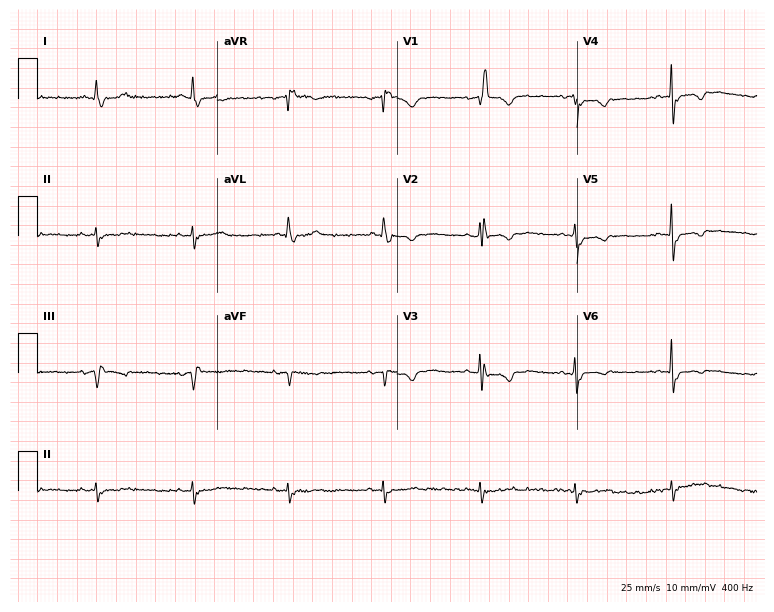
Resting 12-lead electrocardiogram (7.3-second recording at 400 Hz). Patient: a female, 84 years old. The tracing shows right bundle branch block.